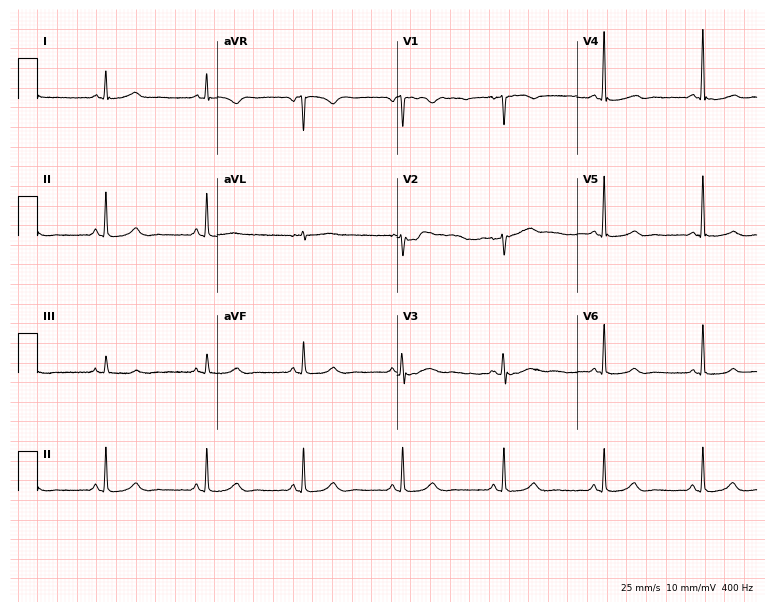
12-lead ECG from a female, 48 years old (7.3-second recording at 400 Hz). Recorded interpretation: within normal limits.